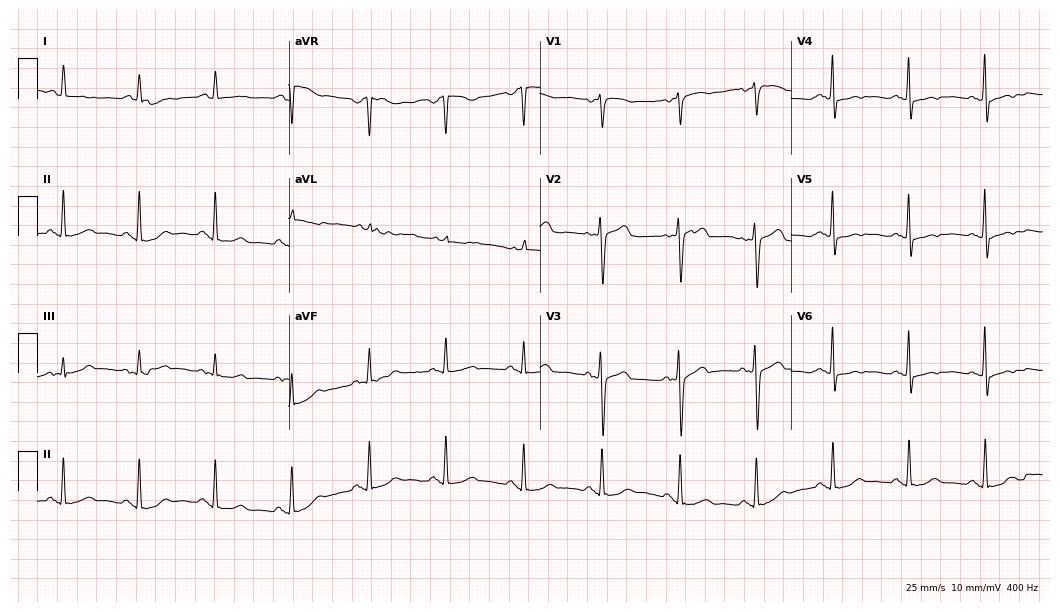
12-lead ECG from a 53-year-old female. No first-degree AV block, right bundle branch block (RBBB), left bundle branch block (LBBB), sinus bradycardia, atrial fibrillation (AF) or sinus tachycardia recorded for this tracing.